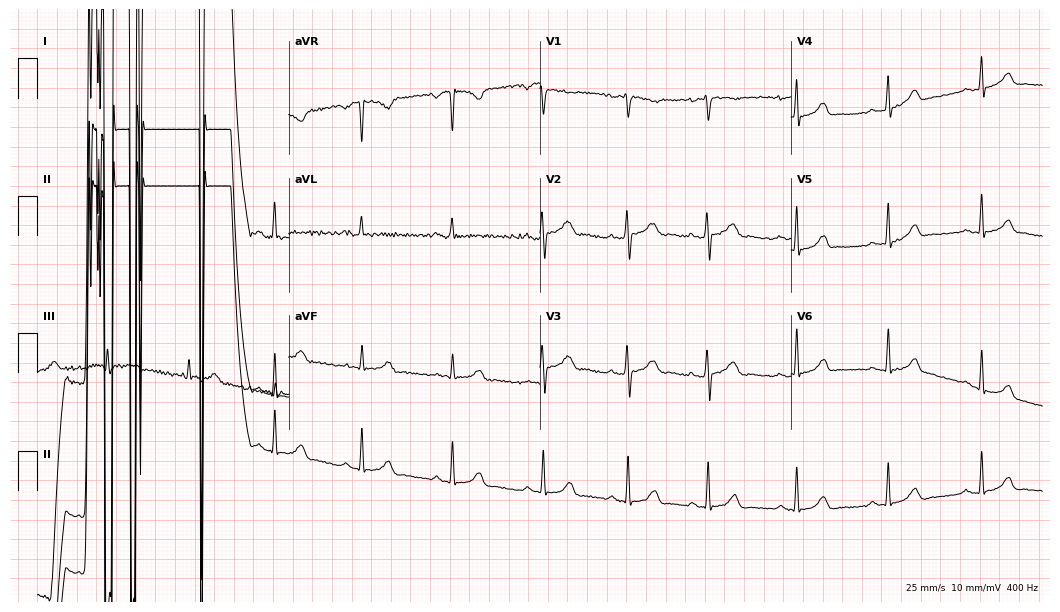
12-lead ECG from a 24-year-old woman. No first-degree AV block, right bundle branch block (RBBB), left bundle branch block (LBBB), sinus bradycardia, atrial fibrillation (AF) or sinus tachycardia recorded for this tracing.